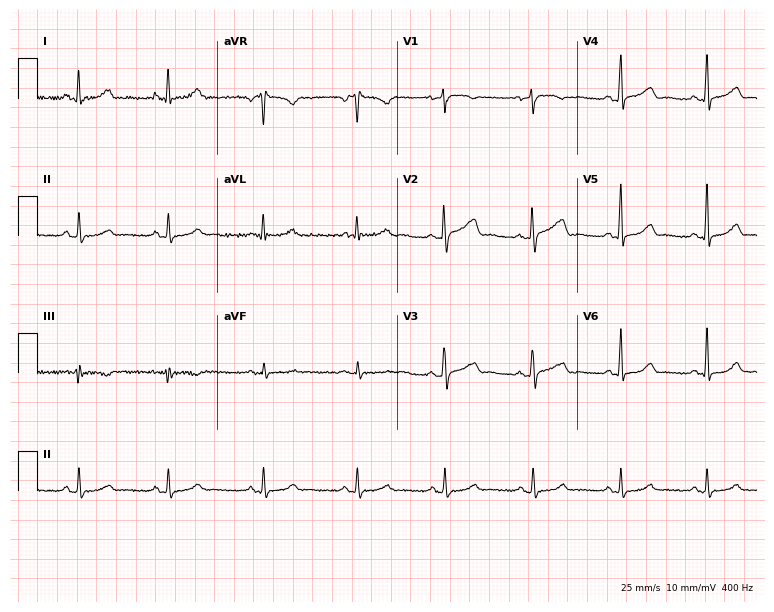
Resting 12-lead electrocardiogram (7.3-second recording at 400 Hz). Patient: a 55-year-old female. Read as a normal ECG.